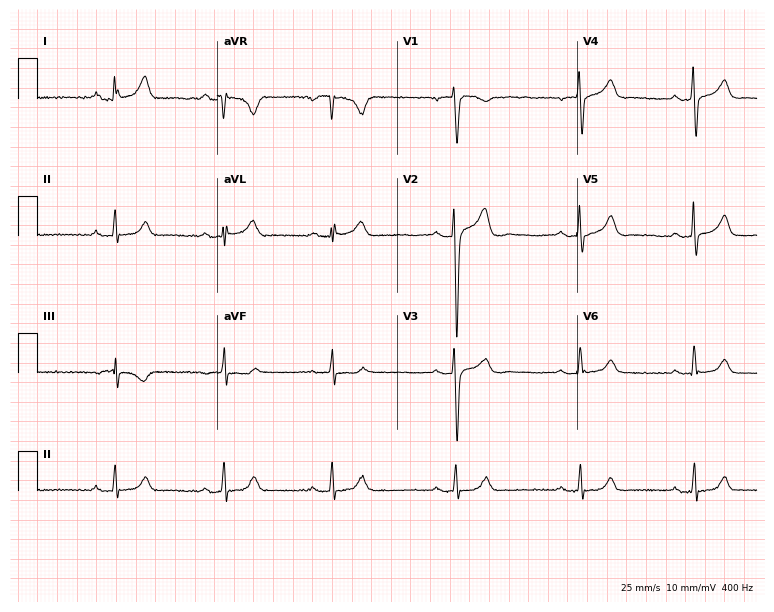
Electrocardiogram, a male patient, 32 years old. Overall reading on record: normal ECG.